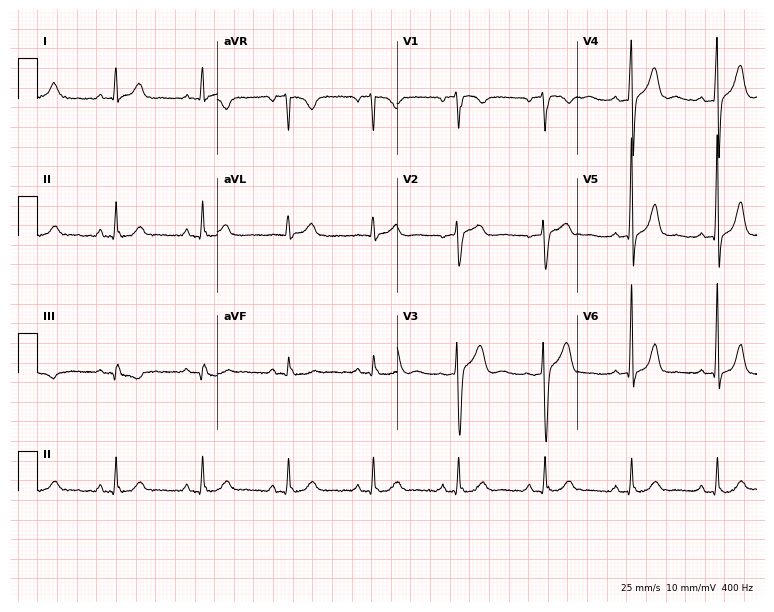
Standard 12-lead ECG recorded from a man, 61 years old. Read as a normal ECG.